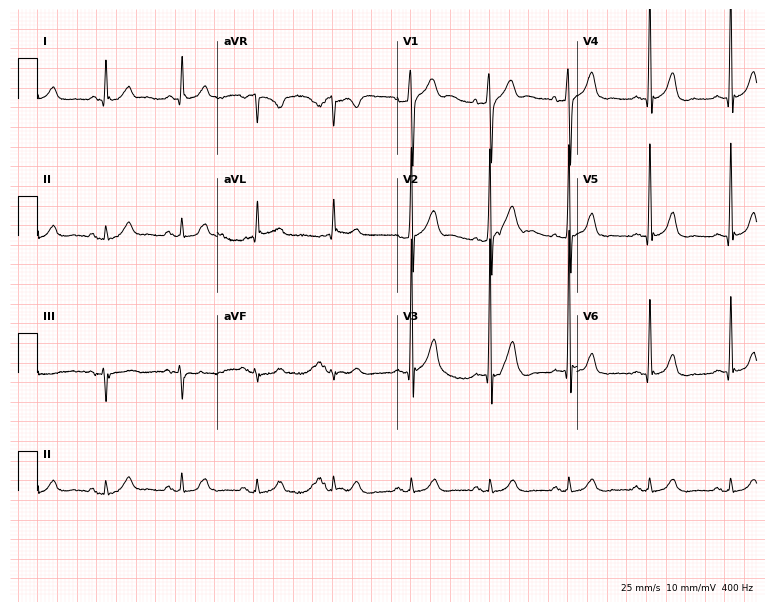
Standard 12-lead ECG recorded from a male, 53 years old (7.3-second recording at 400 Hz). None of these six findings is recorded: first-degree AV block, right bundle branch block, left bundle branch block, sinus bradycardia, atrial fibrillation, sinus tachycardia.